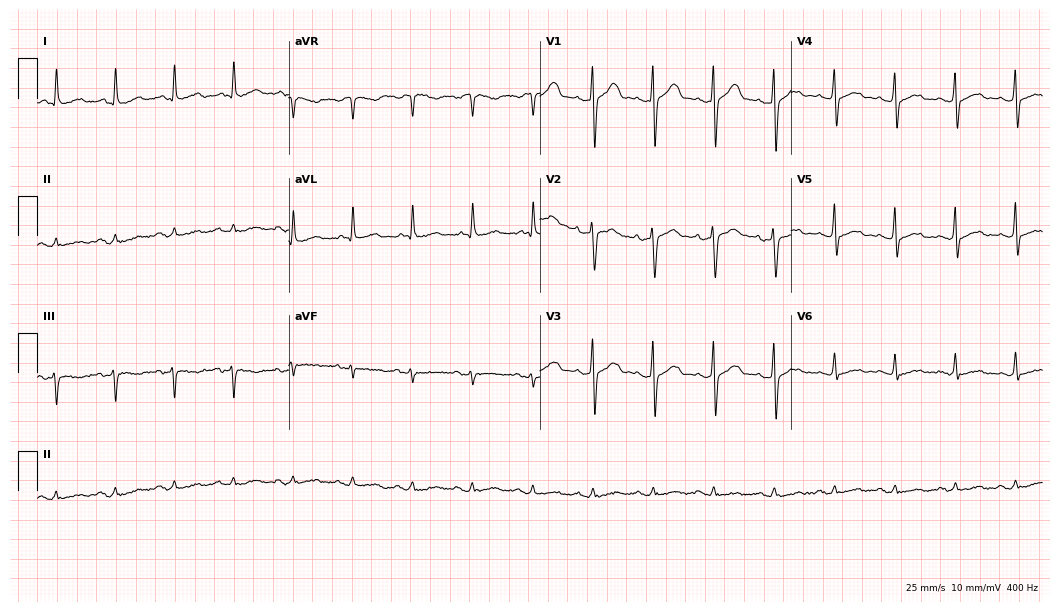
Standard 12-lead ECG recorded from a man, 80 years old (10.2-second recording at 400 Hz). None of these six findings is recorded: first-degree AV block, right bundle branch block (RBBB), left bundle branch block (LBBB), sinus bradycardia, atrial fibrillation (AF), sinus tachycardia.